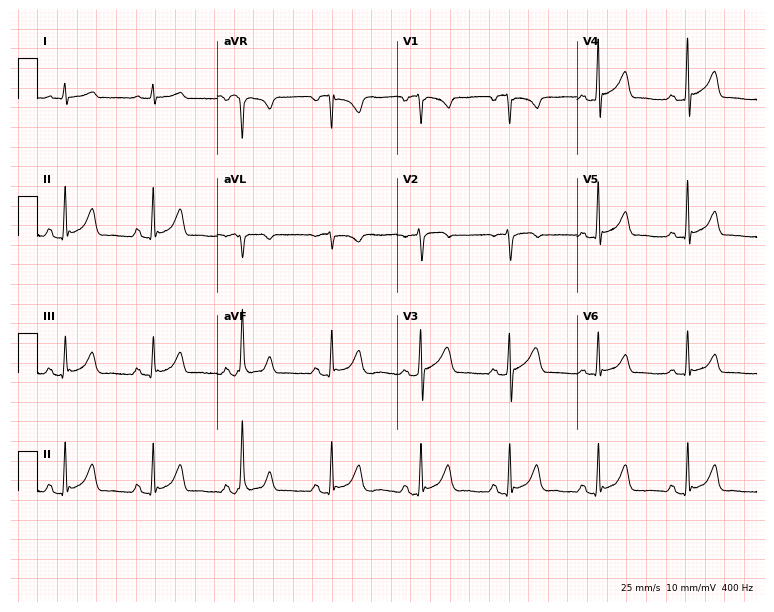
12-lead ECG from a male, 52 years old. No first-degree AV block, right bundle branch block (RBBB), left bundle branch block (LBBB), sinus bradycardia, atrial fibrillation (AF) or sinus tachycardia recorded for this tracing.